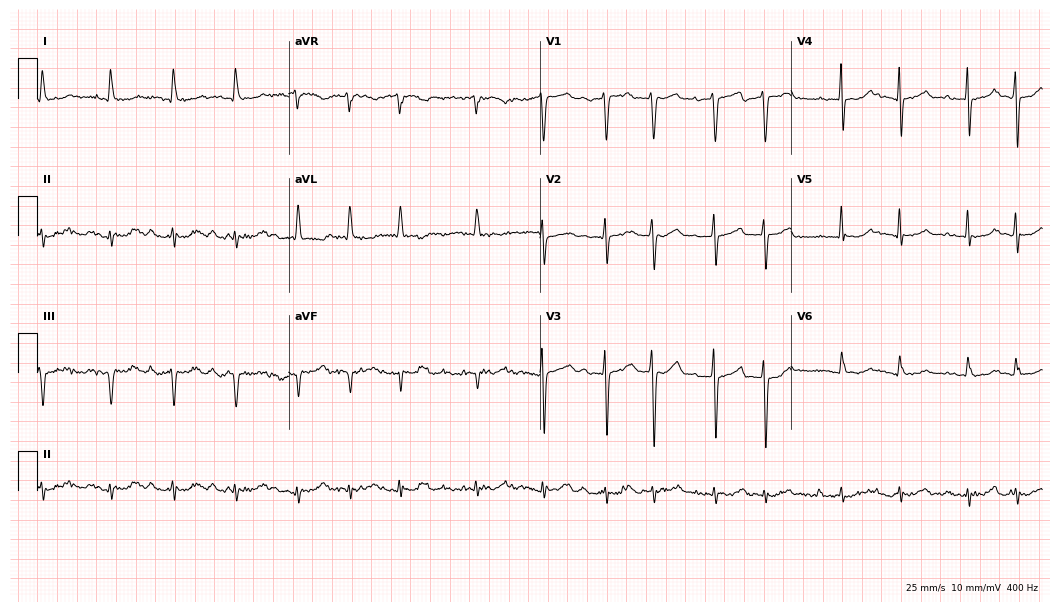
Electrocardiogram (10.2-second recording at 400 Hz), an 85-year-old male patient. Of the six screened findings (first-degree AV block, right bundle branch block, left bundle branch block, sinus bradycardia, atrial fibrillation, sinus tachycardia), none is recorded. Findings outside these six are not listed.